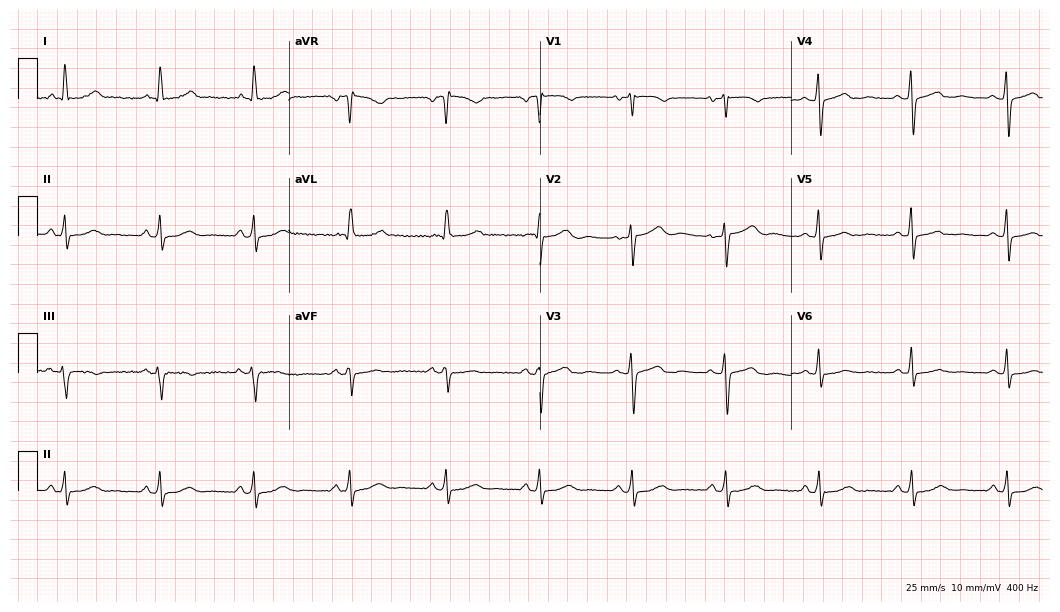
Standard 12-lead ECG recorded from a 62-year-old woman. Read as a normal ECG.